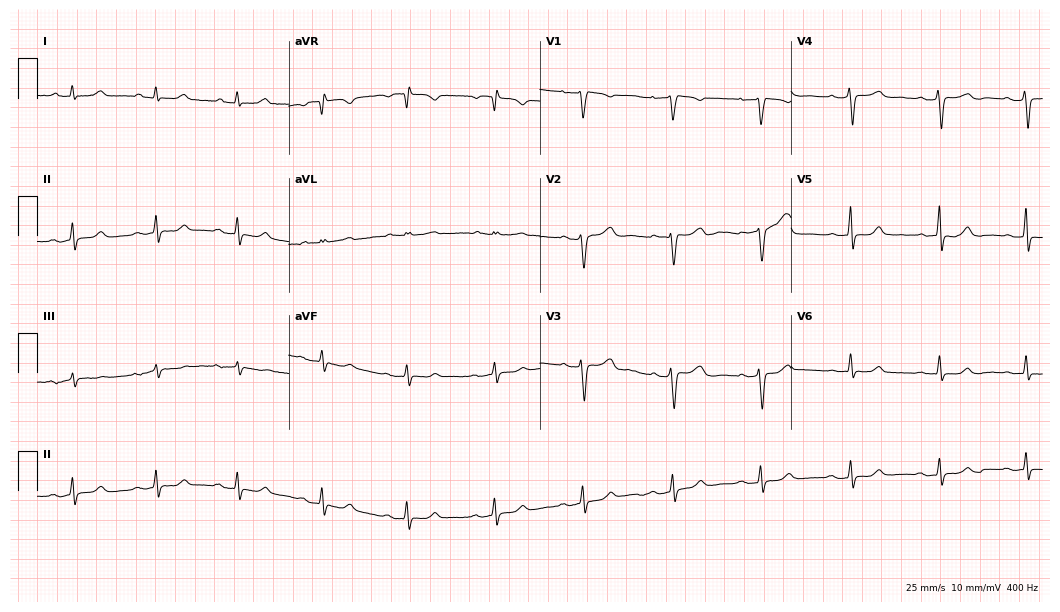
Resting 12-lead electrocardiogram. Patient: a 47-year-old female. Read as a normal ECG.